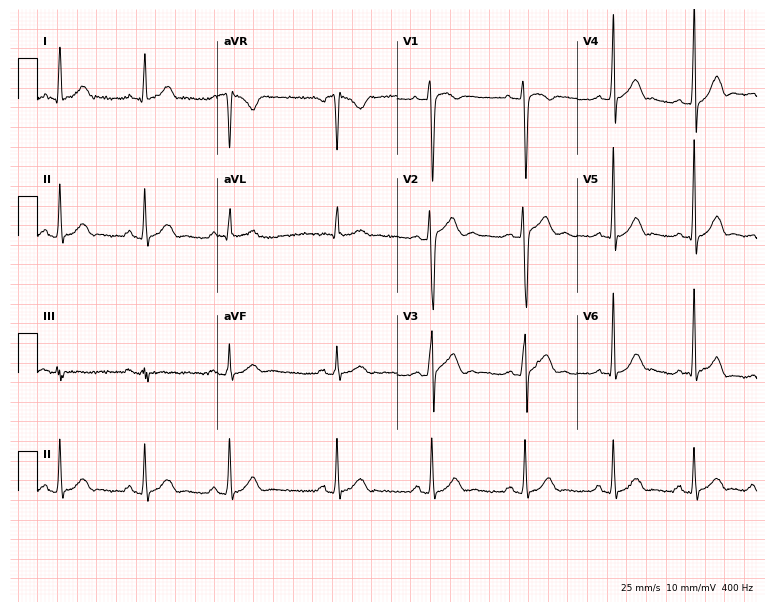
12-lead ECG from an 18-year-old man. Labelled as a normal ECG.